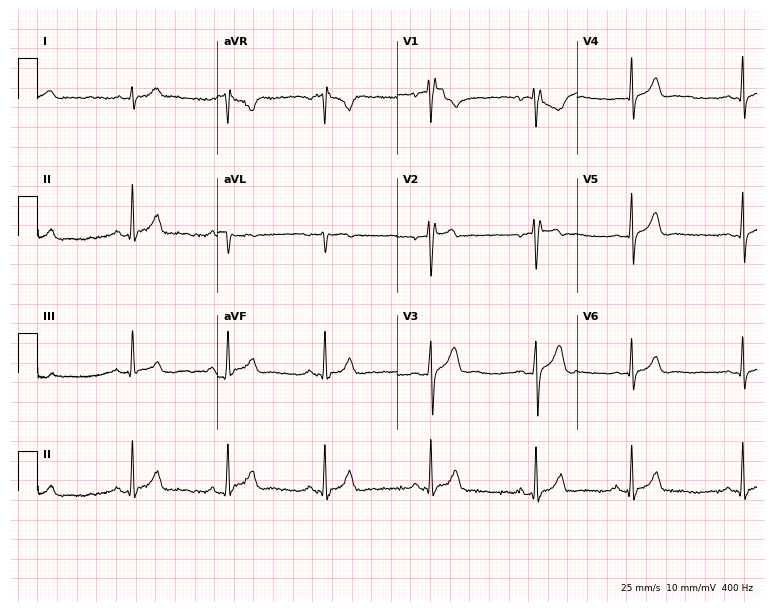
ECG — a male patient, 25 years old. Screened for six findings — first-degree AV block, right bundle branch block (RBBB), left bundle branch block (LBBB), sinus bradycardia, atrial fibrillation (AF), sinus tachycardia — none is recorded.